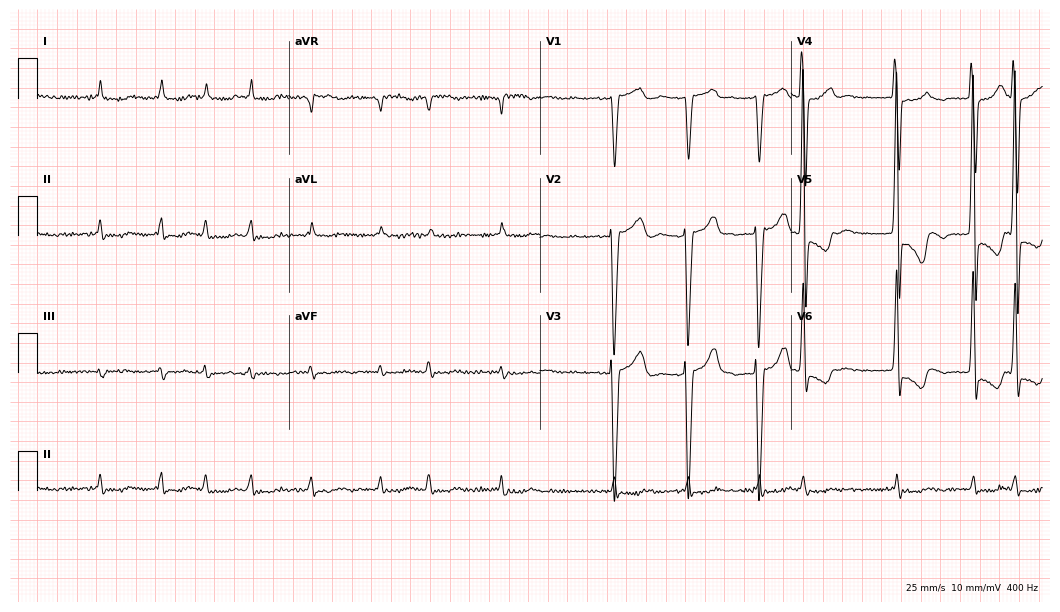
Standard 12-lead ECG recorded from a male, 74 years old. The tracing shows atrial fibrillation.